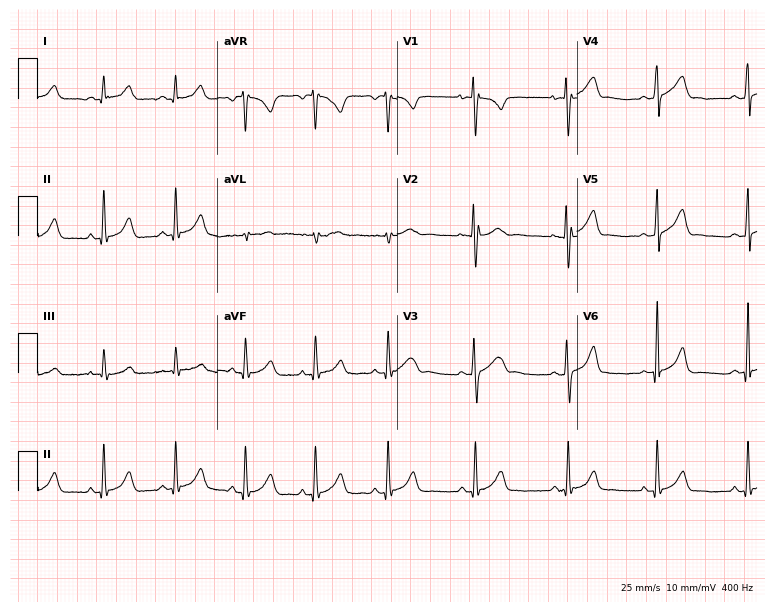
ECG — a 20-year-old female patient. Labelled as a normal ECG.